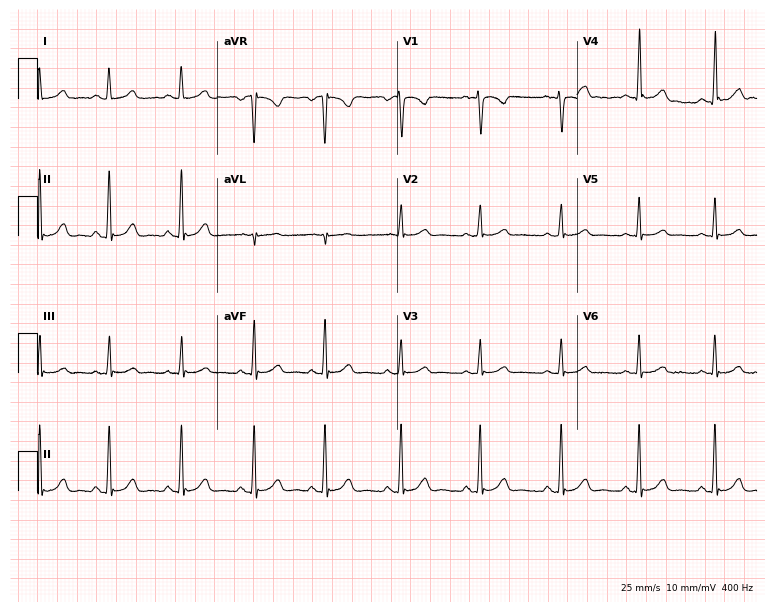
12-lead ECG (7.3-second recording at 400 Hz) from a woman, 24 years old. Labelled as a normal ECG.